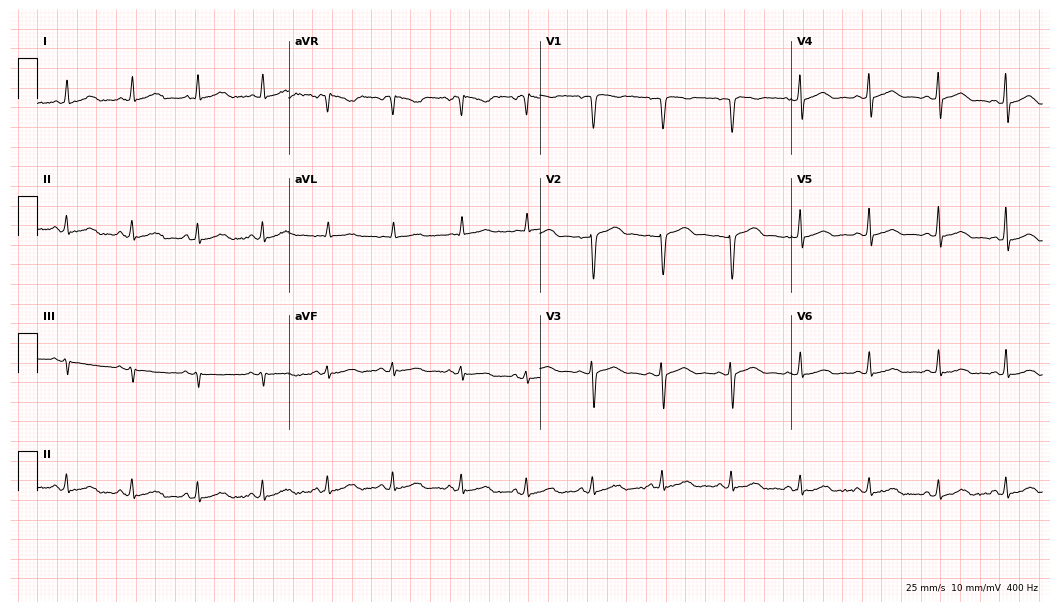
ECG — a 40-year-old female patient. Labelled as a normal ECG.